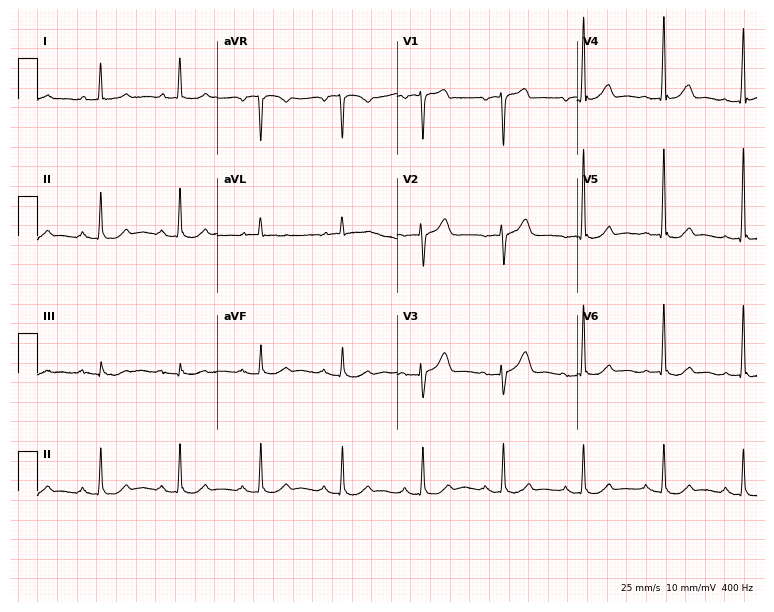
ECG — a male, 60 years old. Screened for six findings — first-degree AV block, right bundle branch block, left bundle branch block, sinus bradycardia, atrial fibrillation, sinus tachycardia — none is recorded.